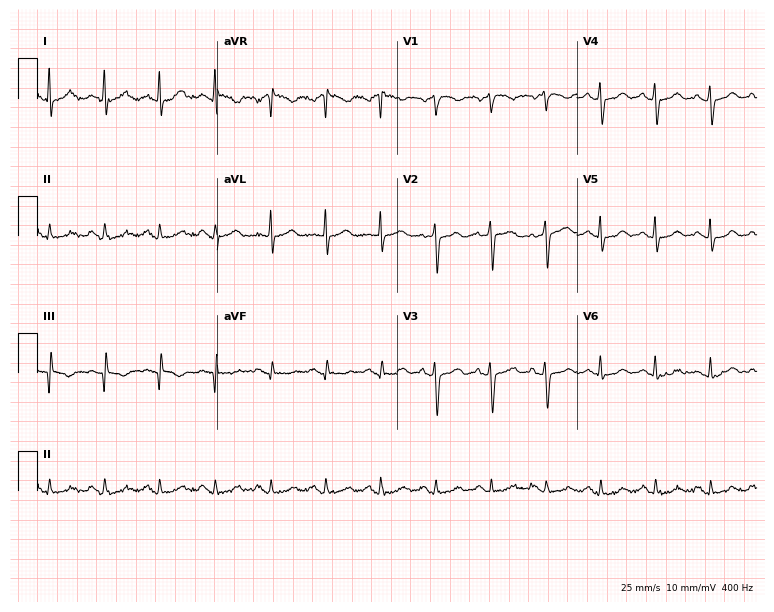
Electrocardiogram, a 55-year-old female patient. Interpretation includes sinus tachycardia (a sinus rate of 100 beats per minute or more).